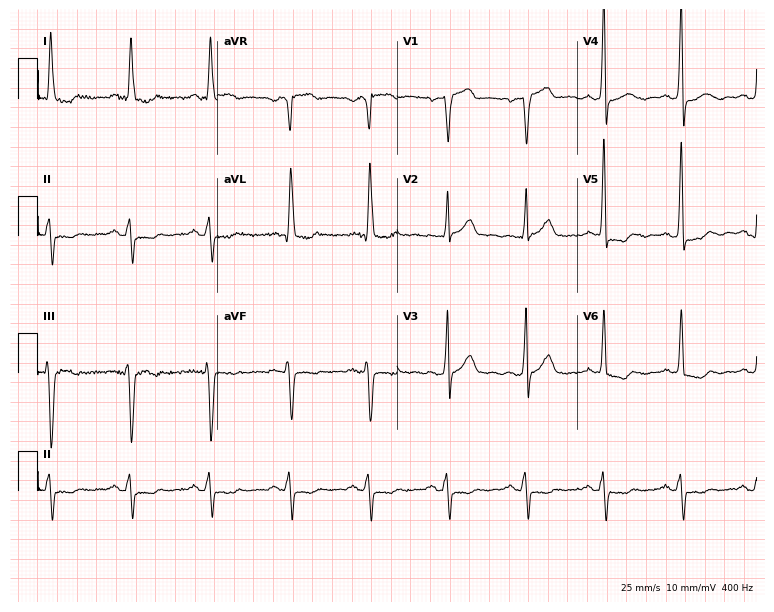
Electrocardiogram (7.3-second recording at 400 Hz), a 71-year-old man. Of the six screened findings (first-degree AV block, right bundle branch block, left bundle branch block, sinus bradycardia, atrial fibrillation, sinus tachycardia), none is recorded. Other findings, if any, are not listed.